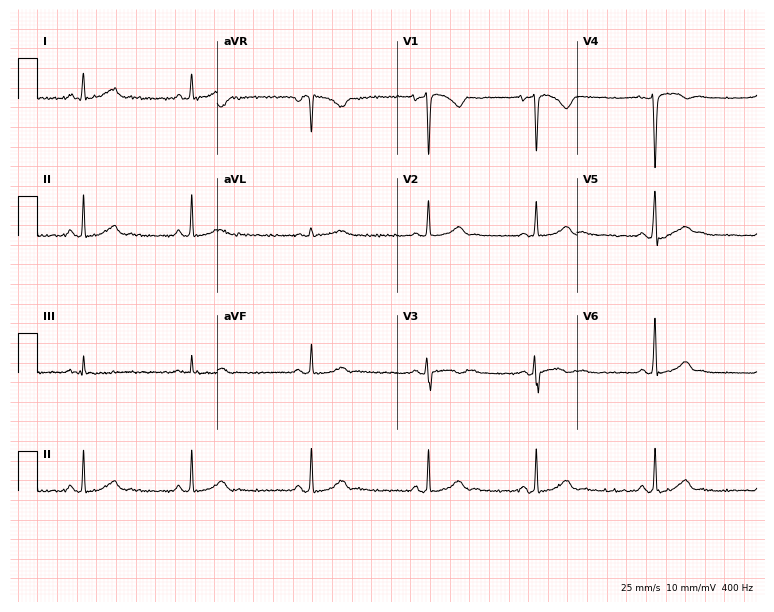
Standard 12-lead ECG recorded from a man, 22 years old (7.3-second recording at 400 Hz). Read as a normal ECG.